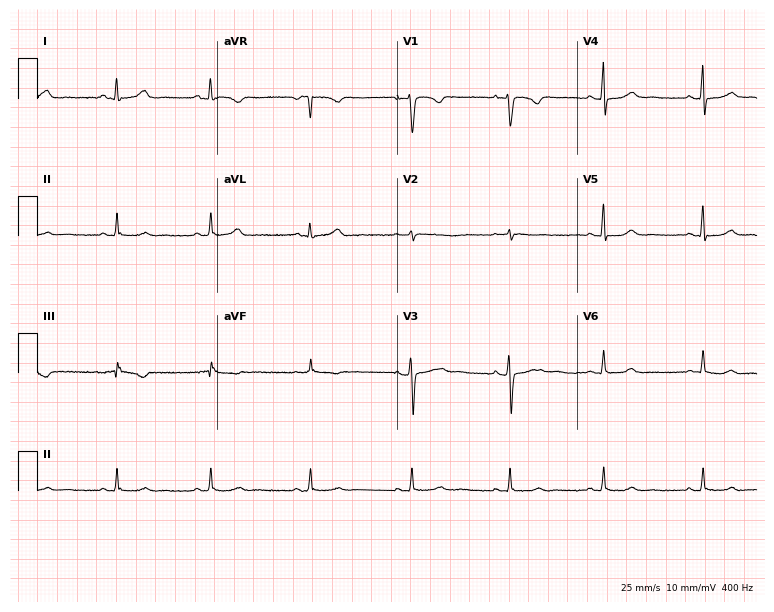
12-lead ECG from a female, 38 years old. Labelled as a normal ECG.